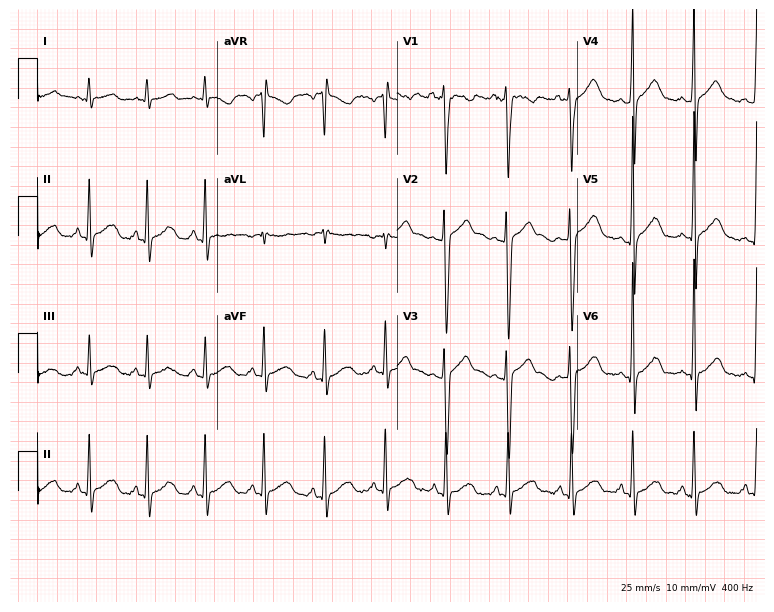
Electrocardiogram, a 20-year-old male patient. Overall reading on record: normal ECG.